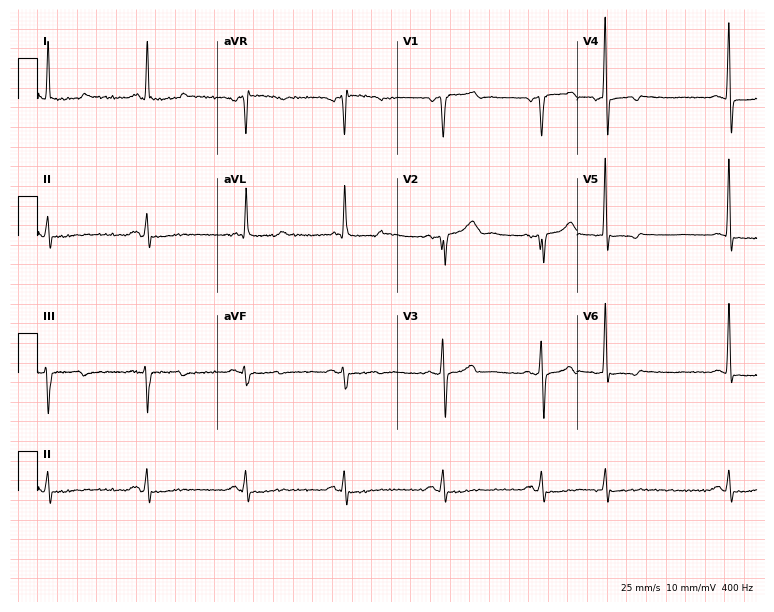
Resting 12-lead electrocardiogram (7.3-second recording at 400 Hz). Patient: a male, 63 years old. None of these six findings is recorded: first-degree AV block, right bundle branch block (RBBB), left bundle branch block (LBBB), sinus bradycardia, atrial fibrillation (AF), sinus tachycardia. Only these six findings were labelled.